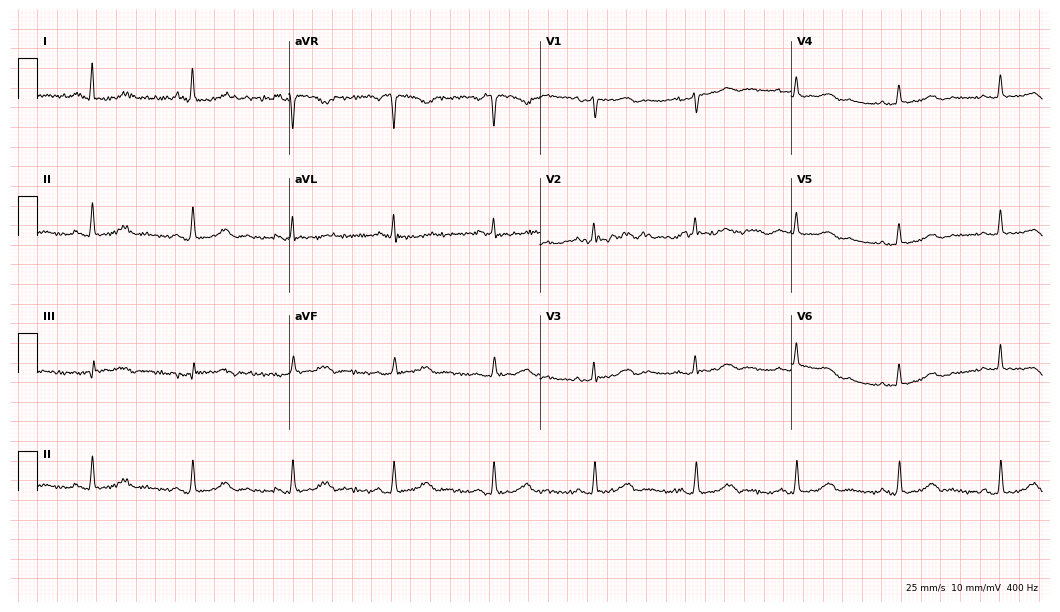
Electrocardiogram (10.2-second recording at 400 Hz), a 58-year-old female. Of the six screened findings (first-degree AV block, right bundle branch block, left bundle branch block, sinus bradycardia, atrial fibrillation, sinus tachycardia), none is recorded.